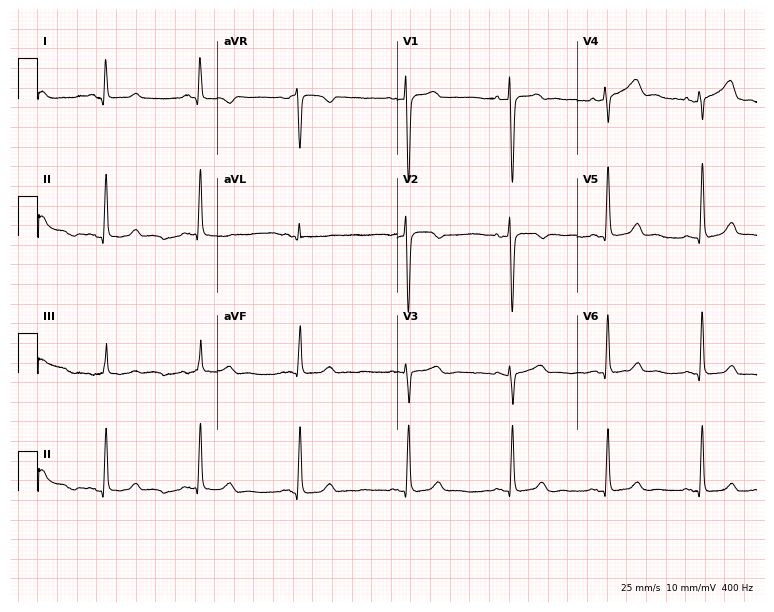
Resting 12-lead electrocardiogram. Patient: a female, 35 years old. None of these six findings is recorded: first-degree AV block, right bundle branch block, left bundle branch block, sinus bradycardia, atrial fibrillation, sinus tachycardia.